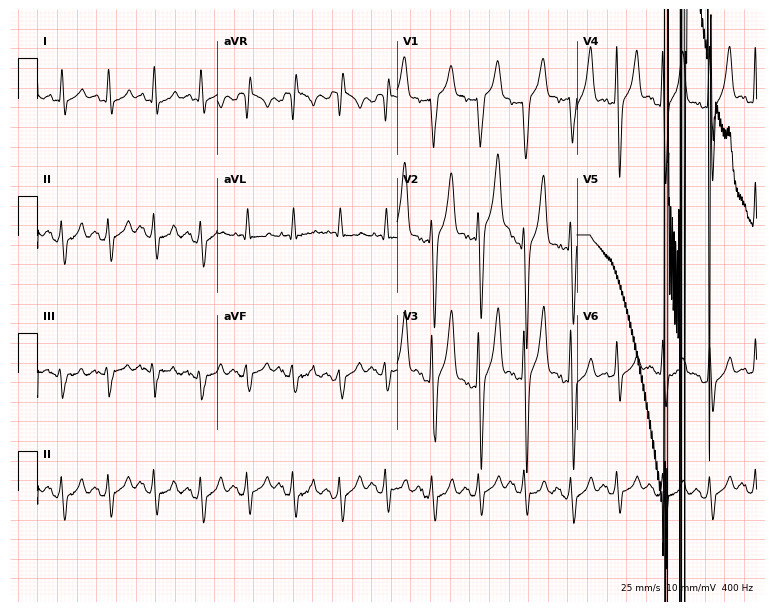
12-lead ECG (7.3-second recording at 400 Hz) from a male patient, 42 years old. Findings include sinus tachycardia (a sinus rate of 100 beats per minute or more).